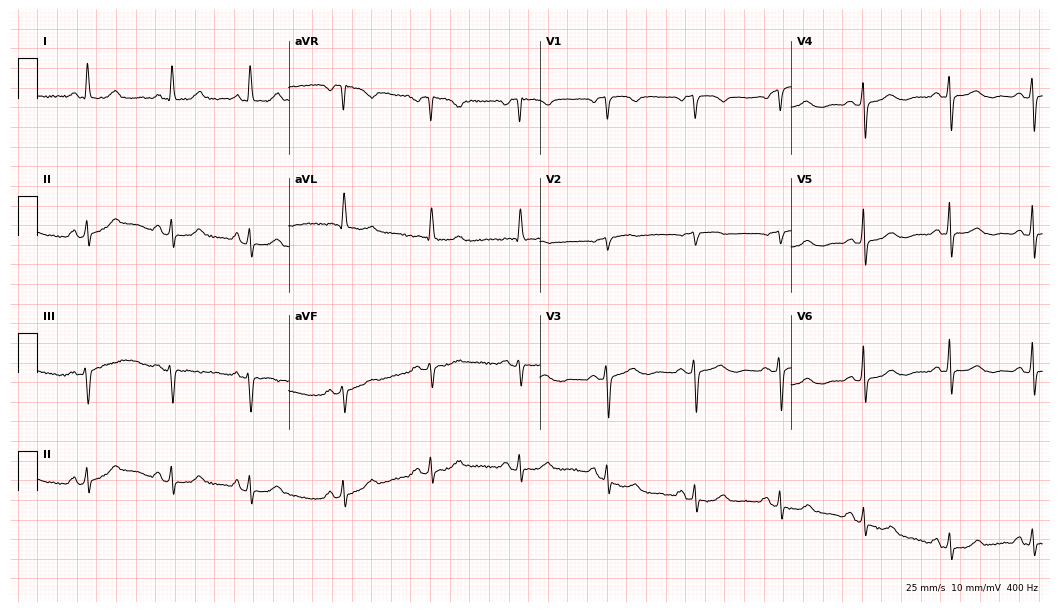
12-lead ECG (10.2-second recording at 400 Hz) from a 76-year-old female. Labelled as a normal ECG.